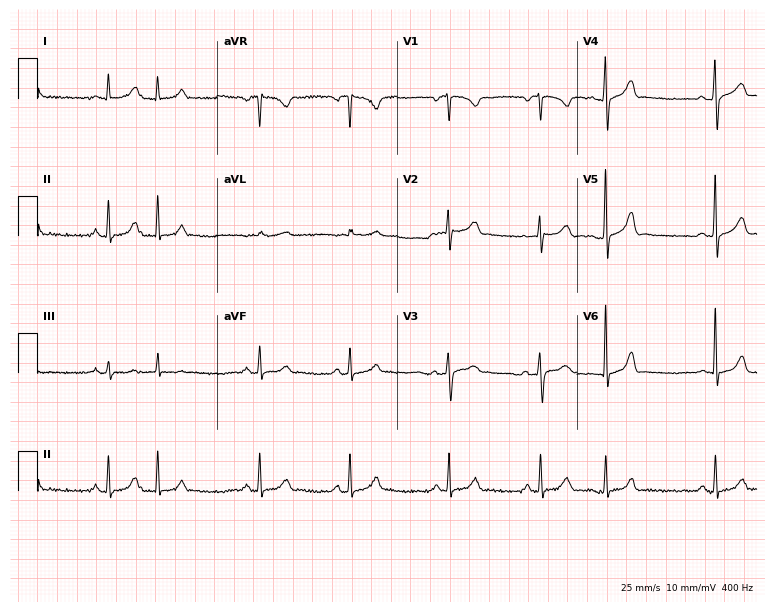
Resting 12-lead electrocardiogram. Patient: an 83-year-old female. None of these six findings is recorded: first-degree AV block, right bundle branch block, left bundle branch block, sinus bradycardia, atrial fibrillation, sinus tachycardia. Findings outside these six are not listed.